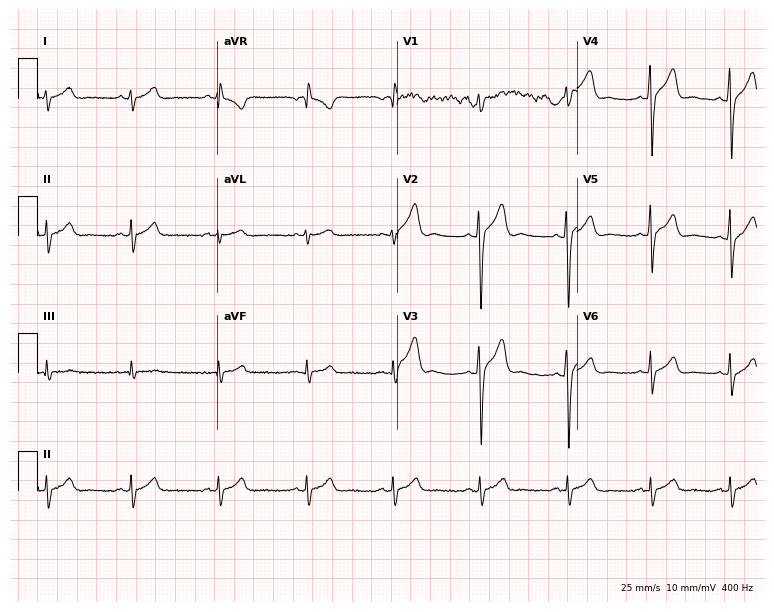
12-lead ECG from a 23-year-old man. Screened for six findings — first-degree AV block, right bundle branch block, left bundle branch block, sinus bradycardia, atrial fibrillation, sinus tachycardia — none is recorded.